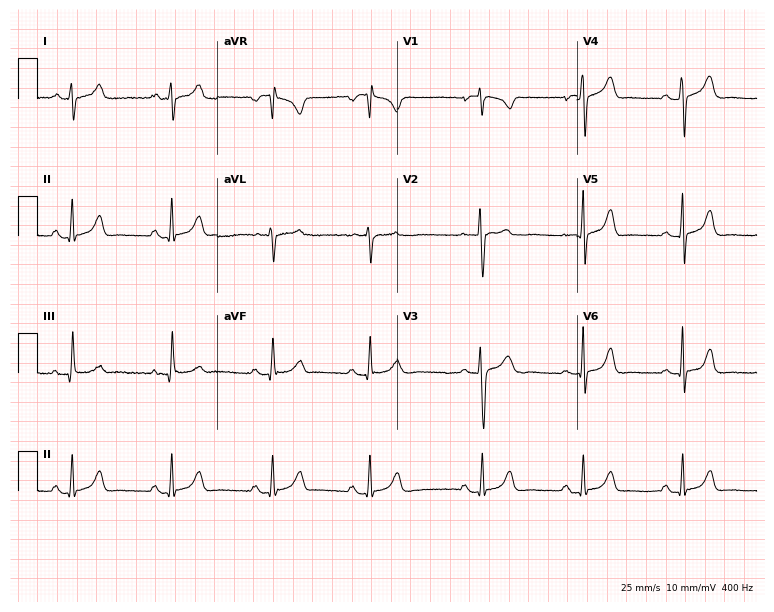
Resting 12-lead electrocardiogram (7.3-second recording at 400 Hz). Patient: a female, 17 years old. Read as a normal ECG.